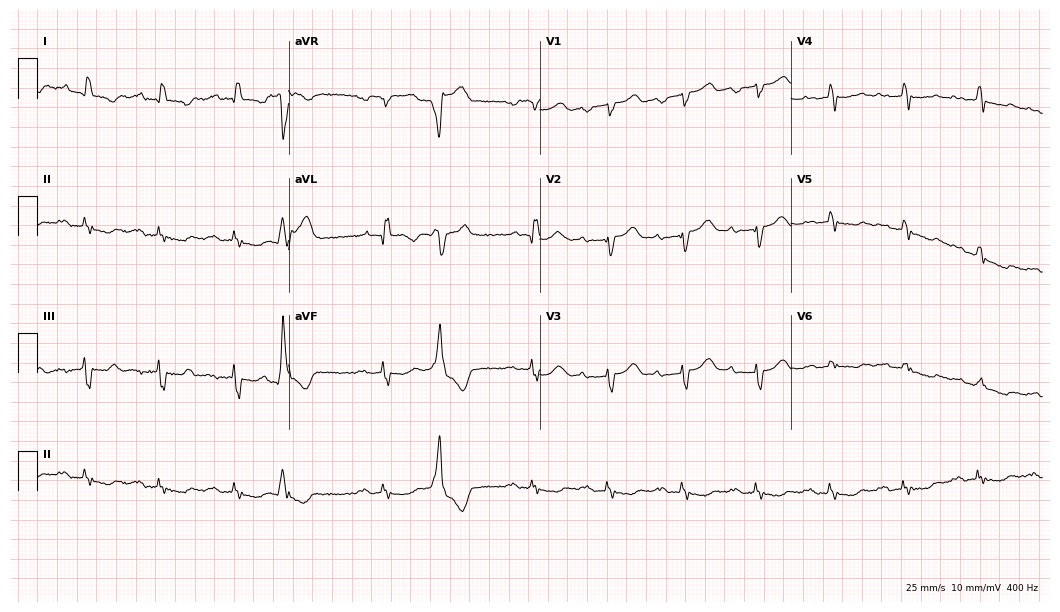
12-lead ECG (10.2-second recording at 400 Hz) from a 75-year-old man. Findings include first-degree AV block.